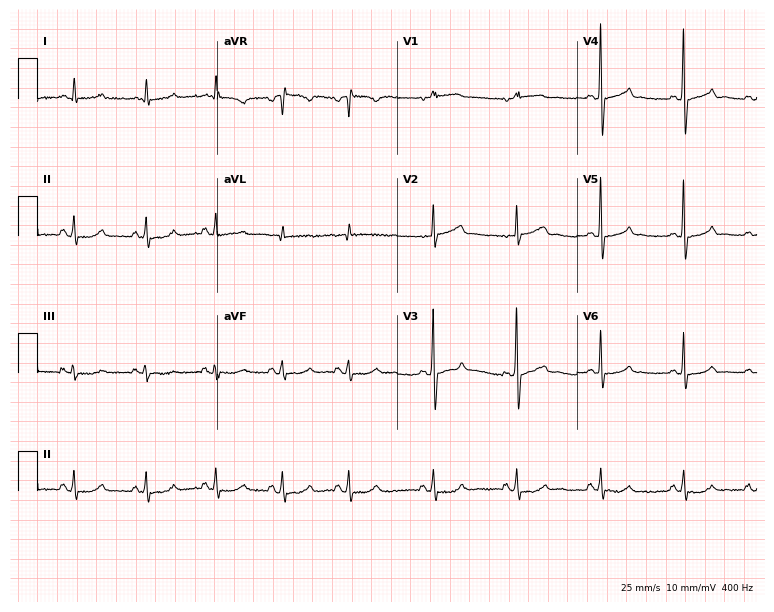
Standard 12-lead ECG recorded from a female patient, 82 years old. Read as a normal ECG.